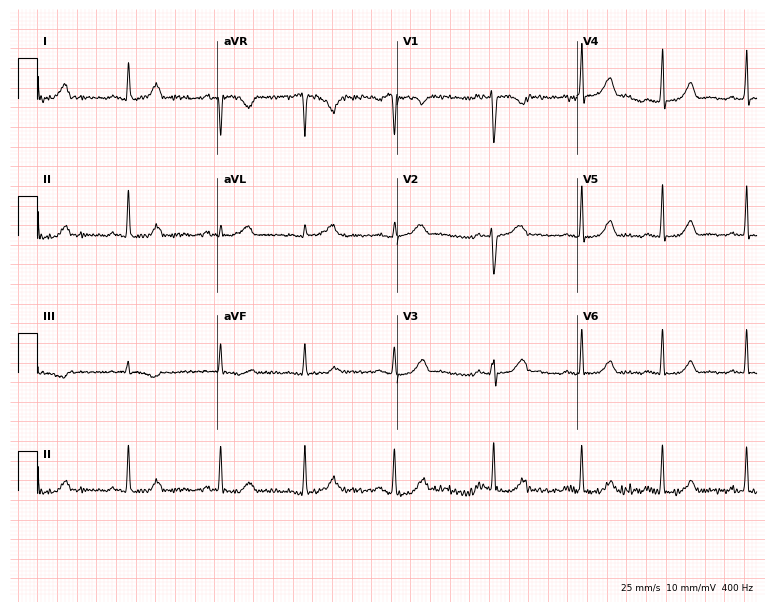
ECG — a 28-year-old woman. Labelled as a normal ECG.